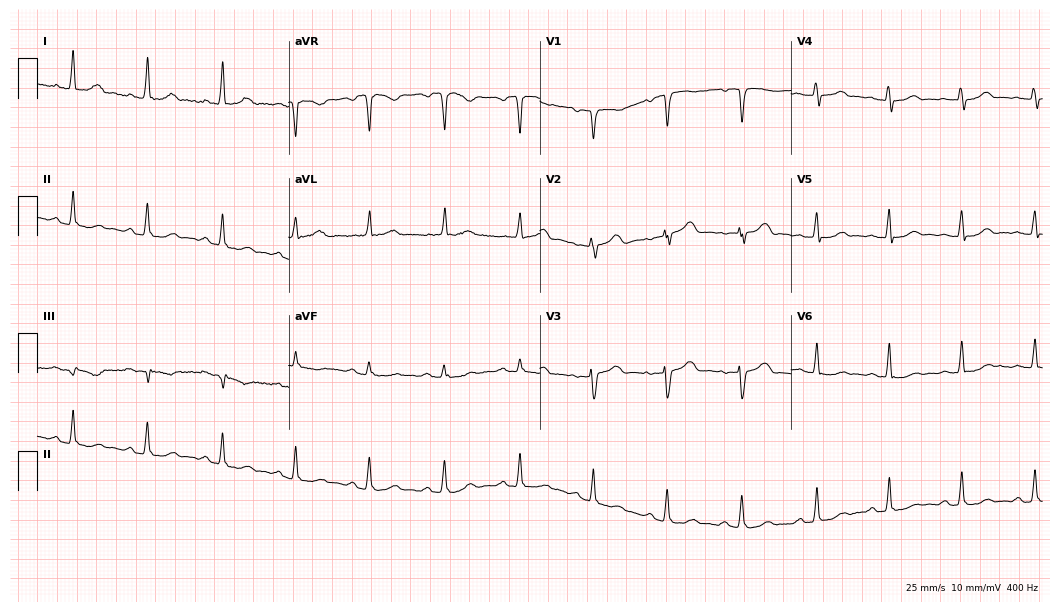
12-lead ECG from a 50-year-old female patient (10.2-second recording at 400 Hz). No first-degree AV block, right bundle branch block (RBBB), left bundle branch block (LBBB), sinus bradycardia, atrial fibrillation (AF) or sinus tachycardia recorded for this tracing. Findings outside these six are not listed.